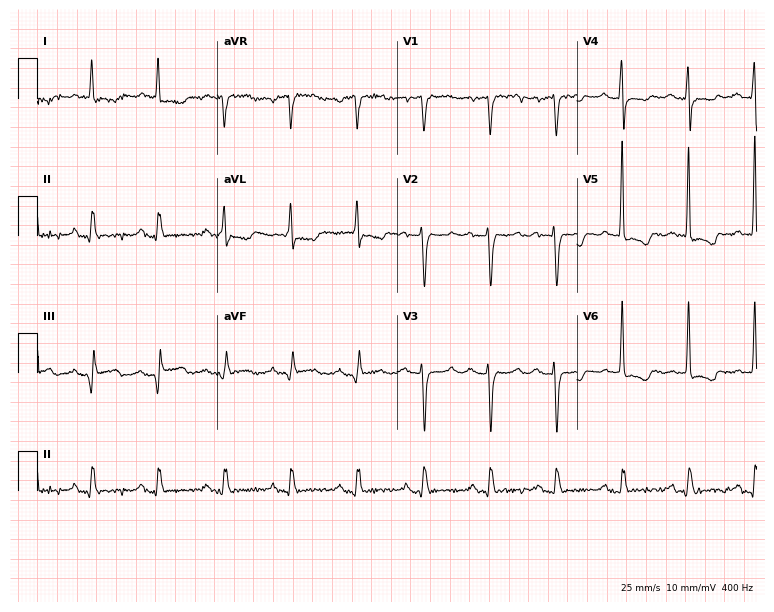
Standard 12-lead ECG recorded from a female, 77 years old. None of these six findings is recorded: first-degree AV block, right bundle branch block, left bundle branch block, sinus bradycardia, atrial fibrillation, sinus tachycardia. Findings outside these six are not listed.